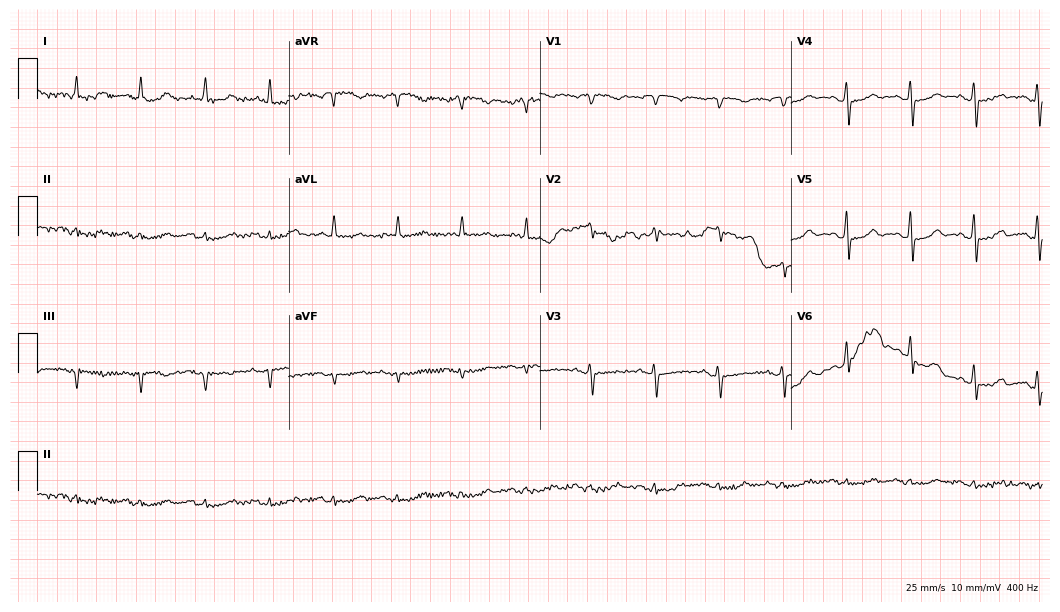
12-lead ECG from a male, 84 years old (10.2-second recording at 400 Hz). No first-degree AV block, right bundle branch block (RBBB), left bundle branch block (LBBB), sinus bradycardia, atrial fibrillation (AF) or sinus tachycardia recorded for this tracing. Findings outside these six are not listed.